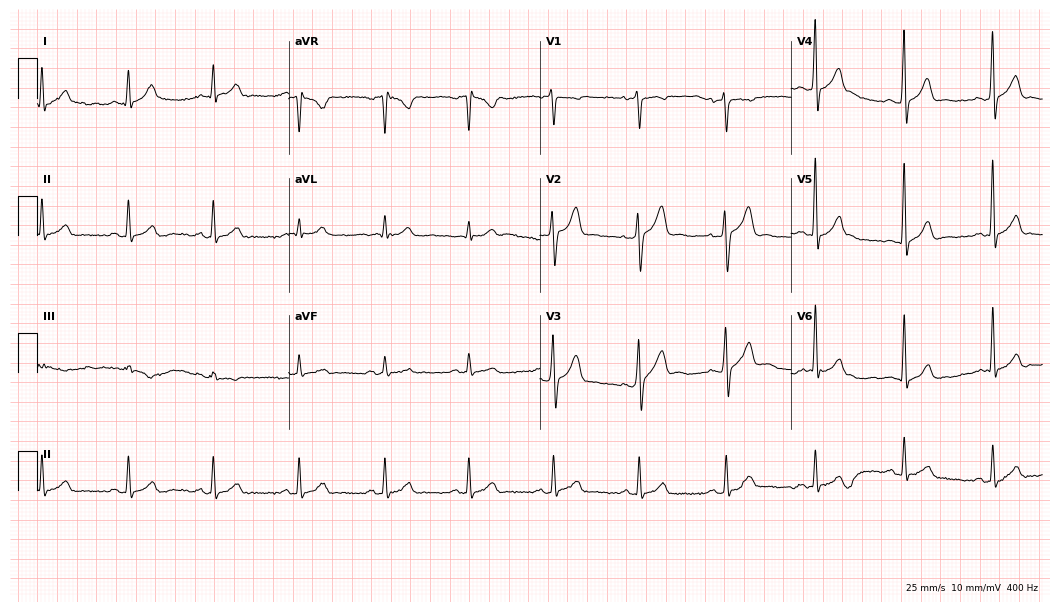
Standard 12-lead ECG recorded from a 32-year-old male patient (10.2-second recording at 400 Hz). Read as a normal ECG.